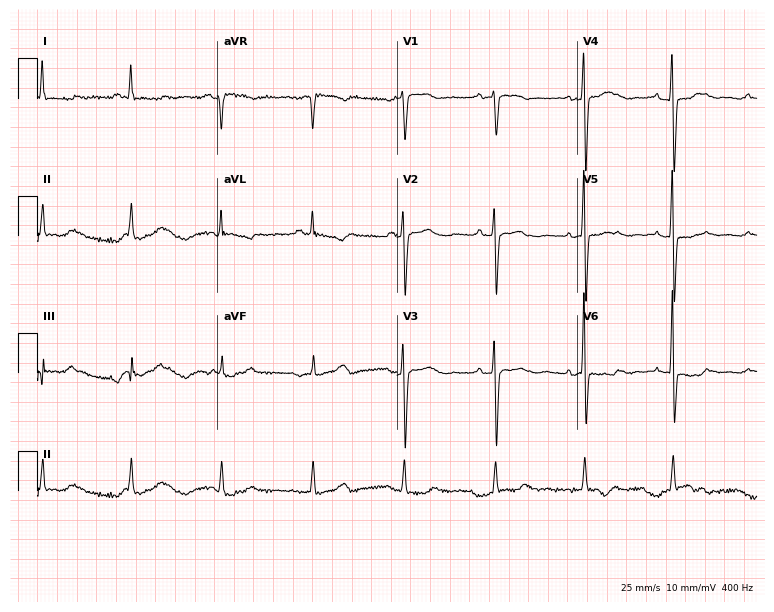
12-lead ECG from a 61-year-old female patient. Recorded interpretation: within normal limits.